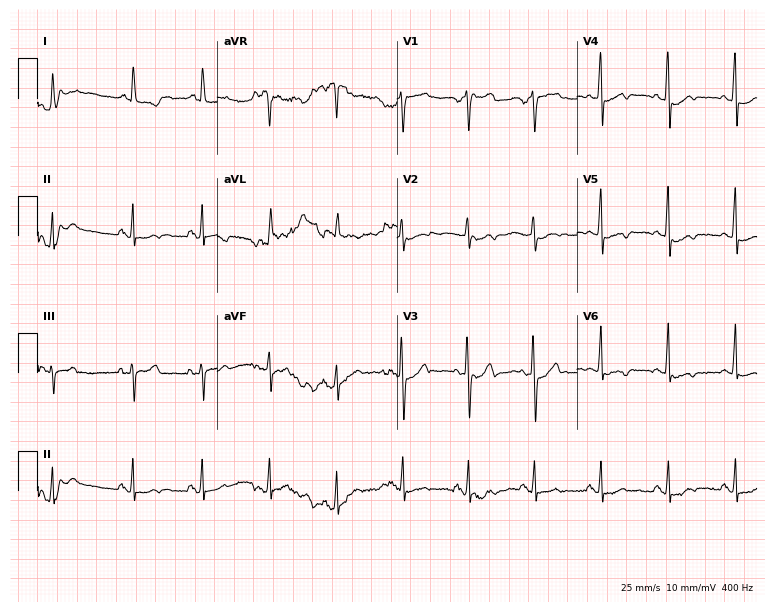
12-lead ECG from a 60-year-old man. No first-degree AV block, right bundle branch block (RBBB), left bundle branch block (LBBB), sinus bradycardia, atrial fibrillation (AF) or sinus tachycardia recorded for this tracing.